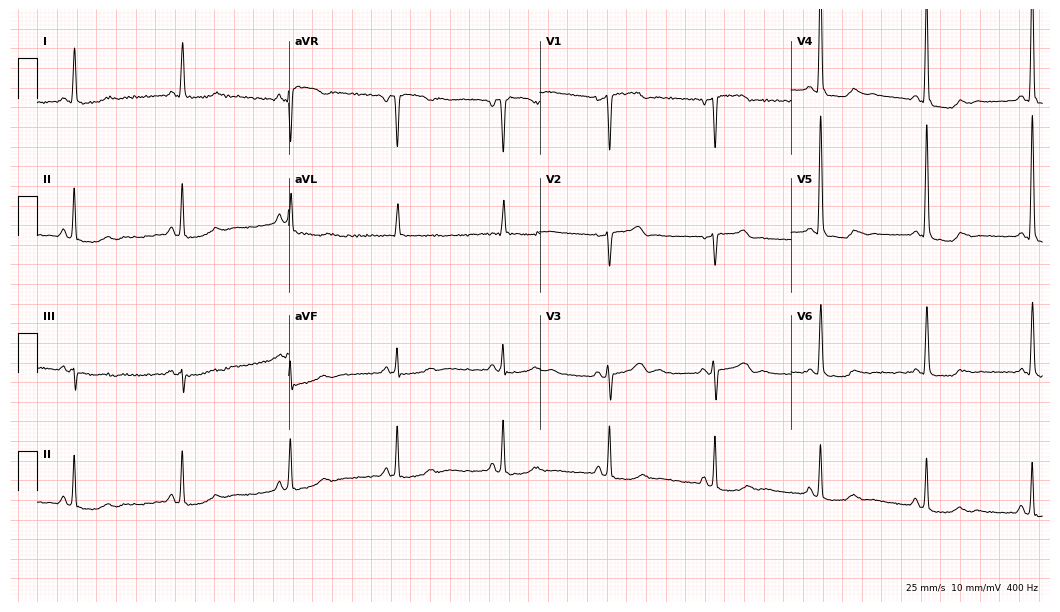
12-lead ECG (10.2-second recording at 400 Hz) from a 54-year-old female patient. Screened for six findings — first-degree AV block, right bundle branch block, left bundle branch block, sinus bradycardia, atrial fibrillation, sinus tachycardia — none is recorded. Findings outside these six are not listed.